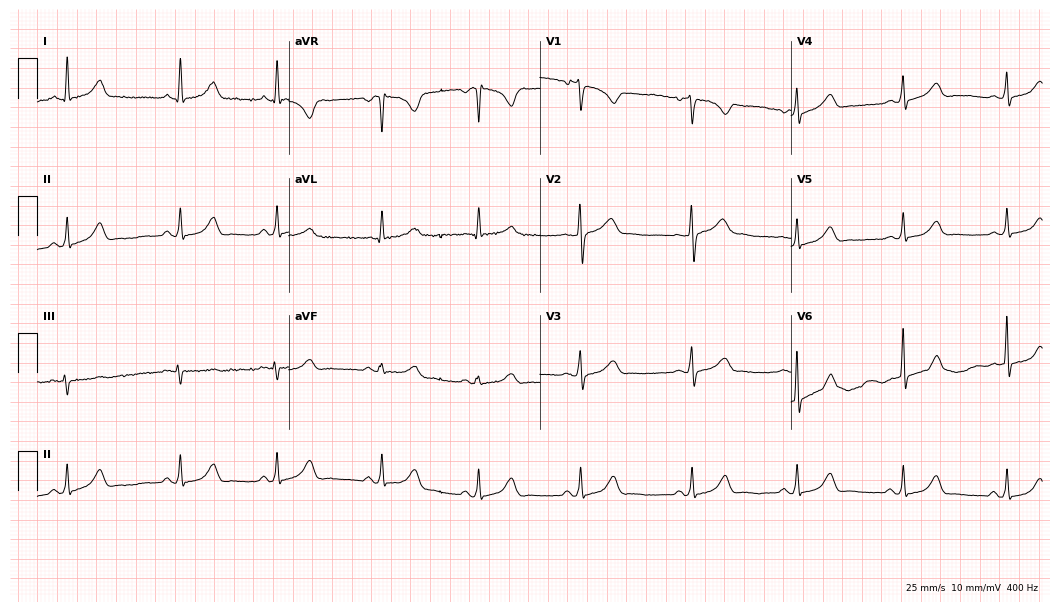
Resting 12-lead electrocardiogram. Patient: a 34-year-old female. Read as a normal ECG.